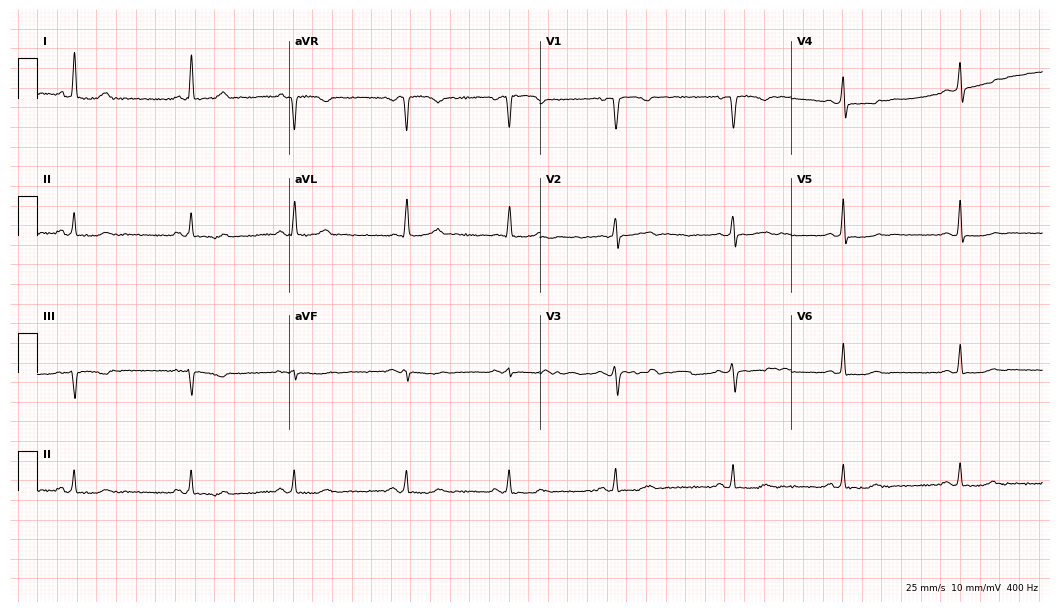
ECG (10.2-second recording at 400 Hz) — a 46-year-old female patient. Screened for six findings — first-degree AV block, right bundle branch block, left bundle branch block, sinus bradycardia, atrial fibrillation, sinus tachycardia — none is recorded.